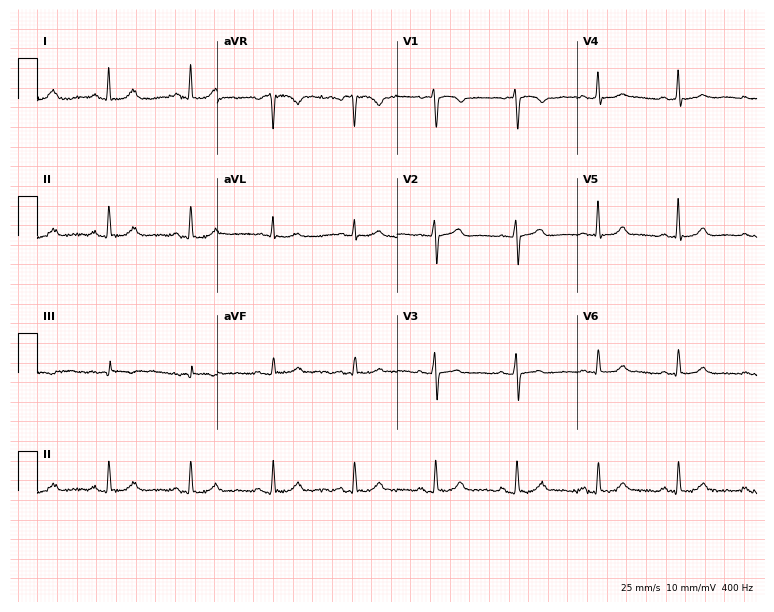
Electrocardiogram (7.3-second recording at 400 Hz), a female patient, 55 years old. Of the six screened findings (first-degree AV block, right bundle branch block, left bundle branch block, sinus bradycardia, atrial fibrillation, sinus tachycardia), none is recorded. Findings outside these six are not listed.